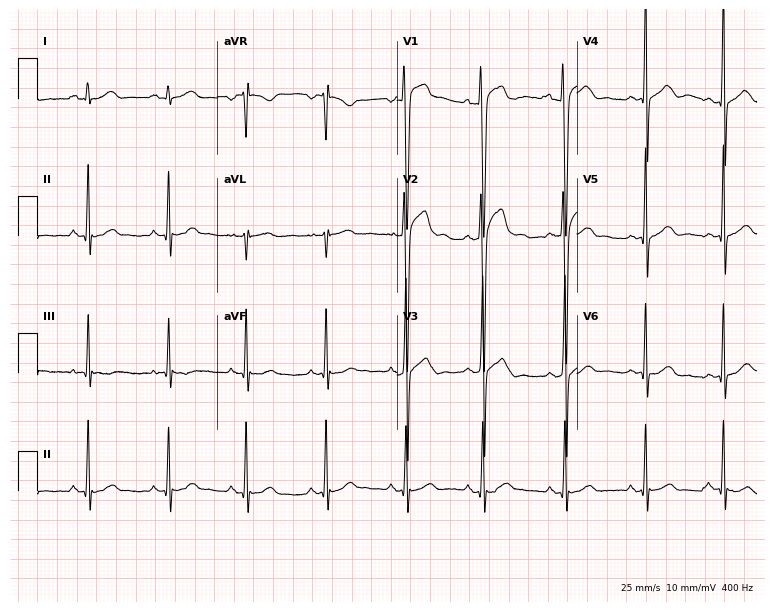
12-lead ECG from a male, 20 years old. Labelled as a normal ECG.